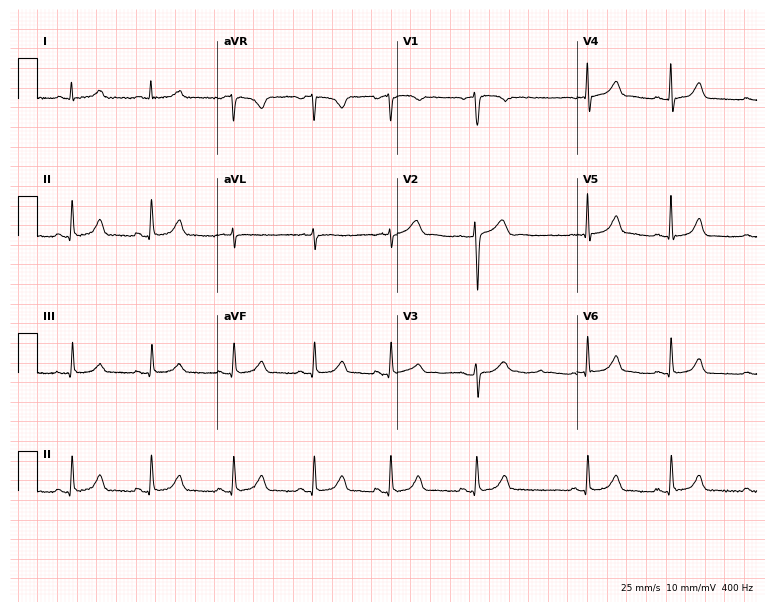
12-lead ECG (7.3-second recording at 400 Hz) from a female patient, 46 years old. Labelled as a normal ECG.